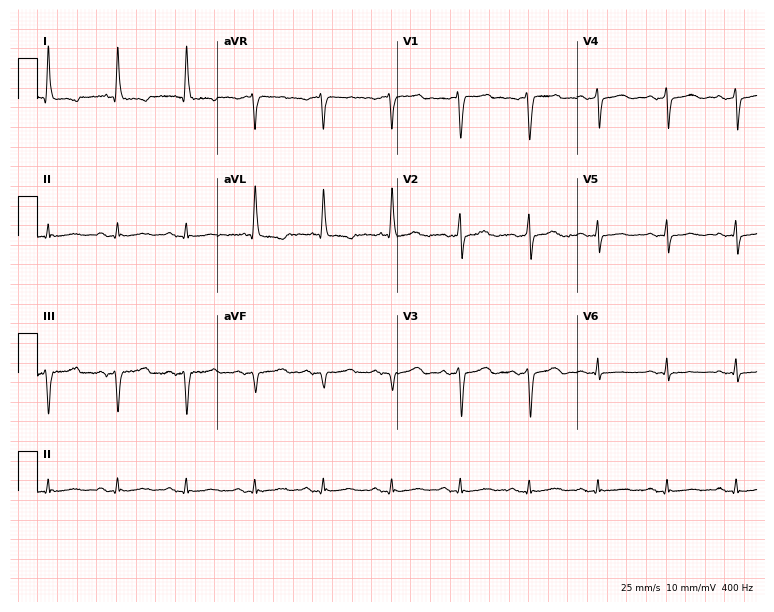
Standard 12-lead ECG recorded from a 66-year-old woman. None of these six findings is recorded: first-degree AV block, right bundle branch block, left bundle branch block, sinus bradycardia, atrial fibrillation, sinus tachycardia. Other findings, if any, are not listed.